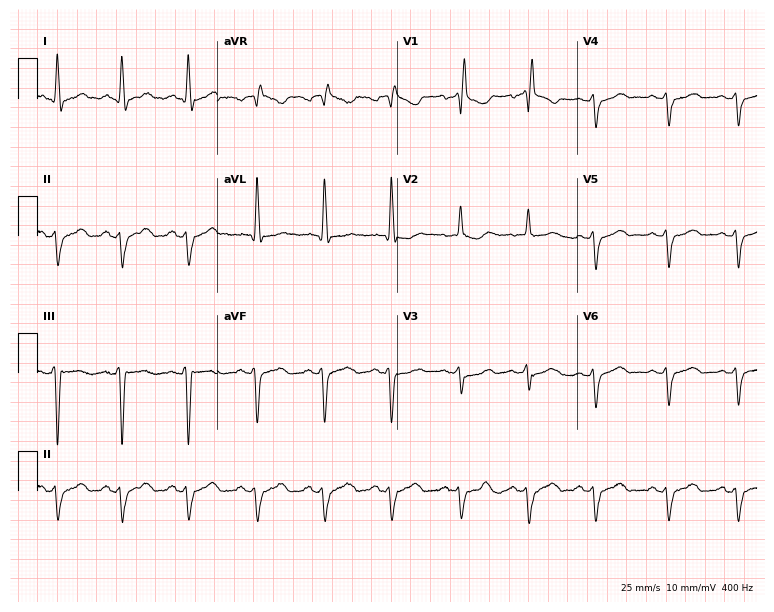
Resting 12-lead electrocardiogram (7.3-second recording at 400 Hz). Patient: a female, 63 years old. The tracing shows right bundle branch block.